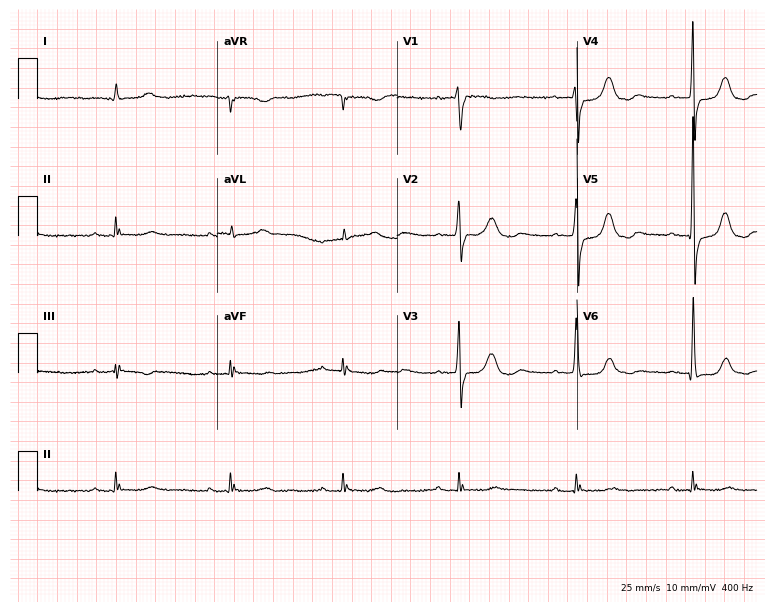
Resting 12-lead electrocardiogram. Patient: a male, 76 years old. The tracing shows first-degree AV block.